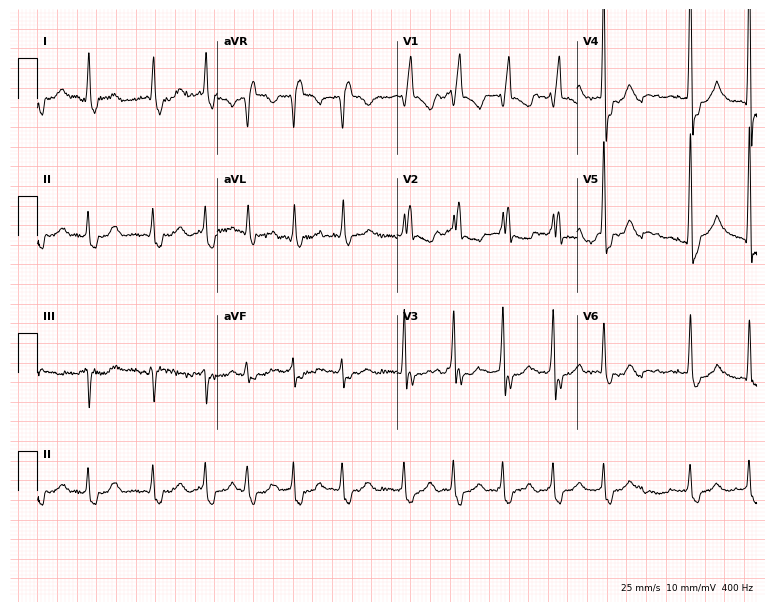
ECG — an 86-year-old woman. Findings include right bundle branch block, atrial fibrillation, sinus tachycardia (a sinus rate of 100 beats per minute or more).